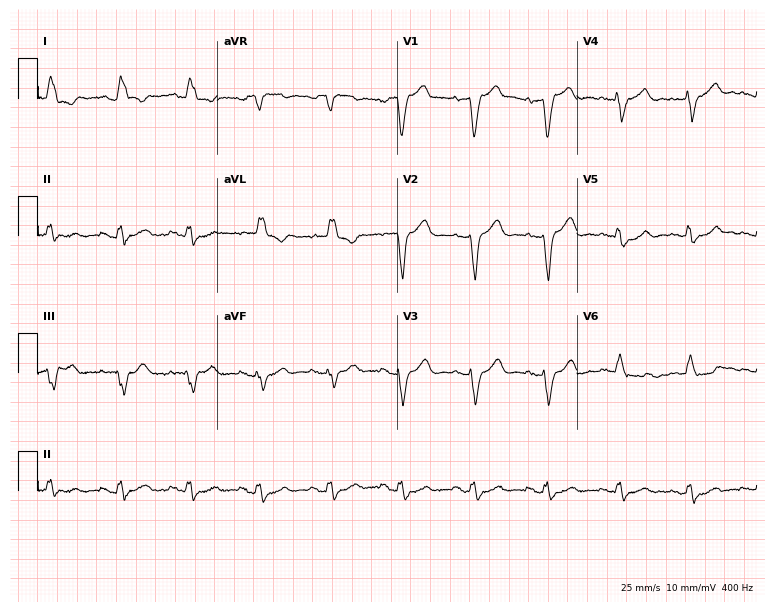
12-lead ECG (7.3-second recording at 400 Hz) from a 69-year-old female. Findings include left bundle branch block (LBBB).